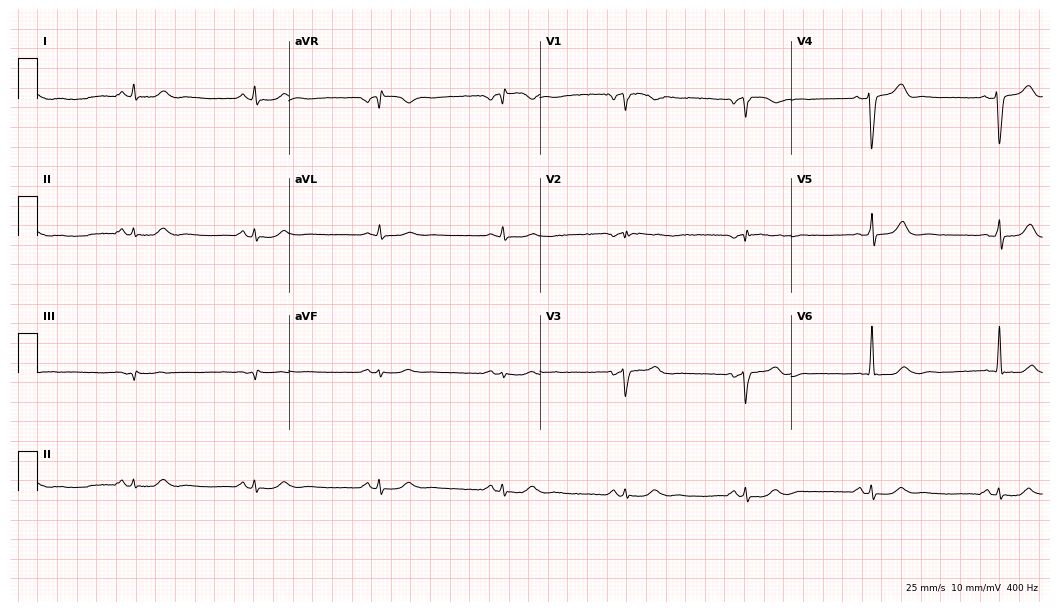
Standard 12-lead ECG recorded from a man, 80 years old (10.2-second recording at 400 Hz). The tracing shows sinus bradycardia (a sinus rate of 50 beats per minute or less).